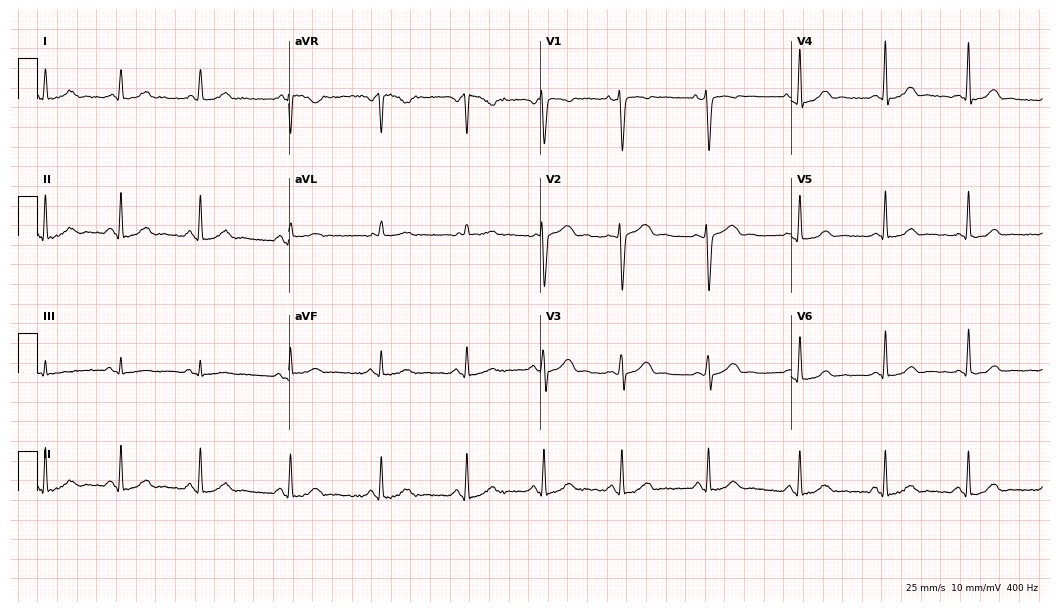
12-lead ECG from a female, 31 years old. No first-degree AV block, right bundle branch block (RBBB), left bundle branch block (LBBB), sinus bradycardia, atrial fibrillation (AF) or sinus tachycardia recorded for this tracing. Only these six findings were labelled.